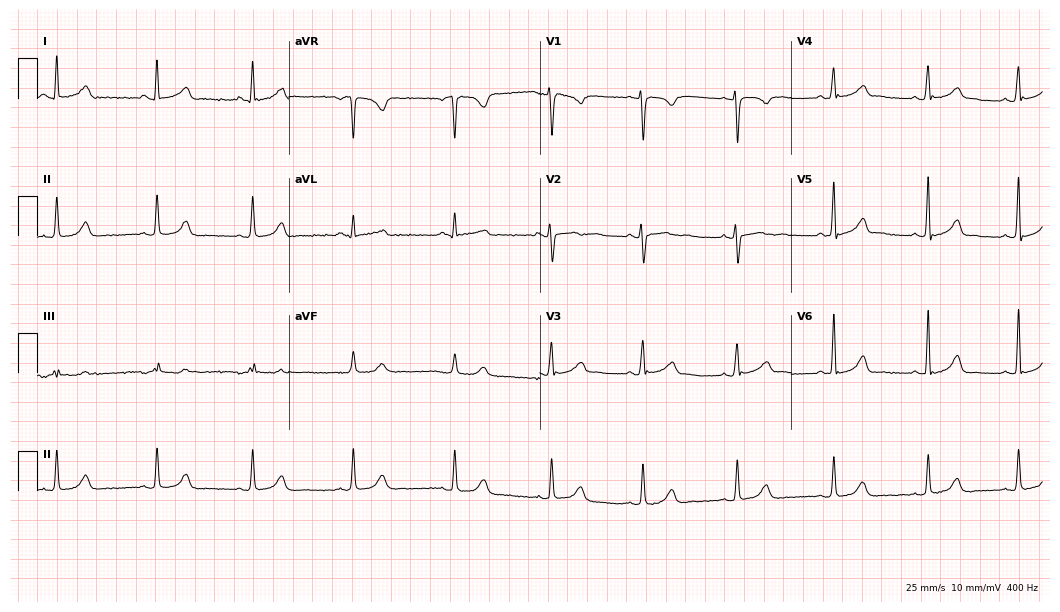
Resting 12-lead electrocardiogram. Patient: a female, 34 years old. Read as a normal ECG.